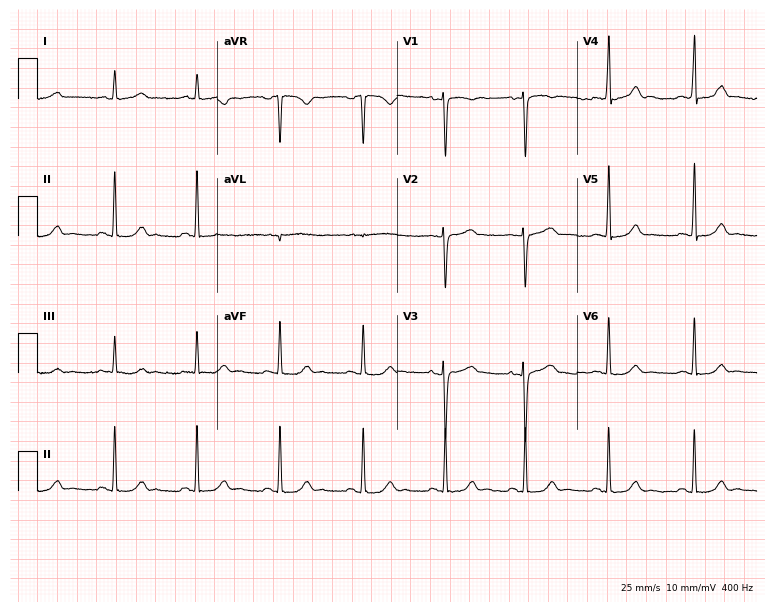
12-lead ECG from a female patient, 38 years old. Recorded interpretation: within normal limits.